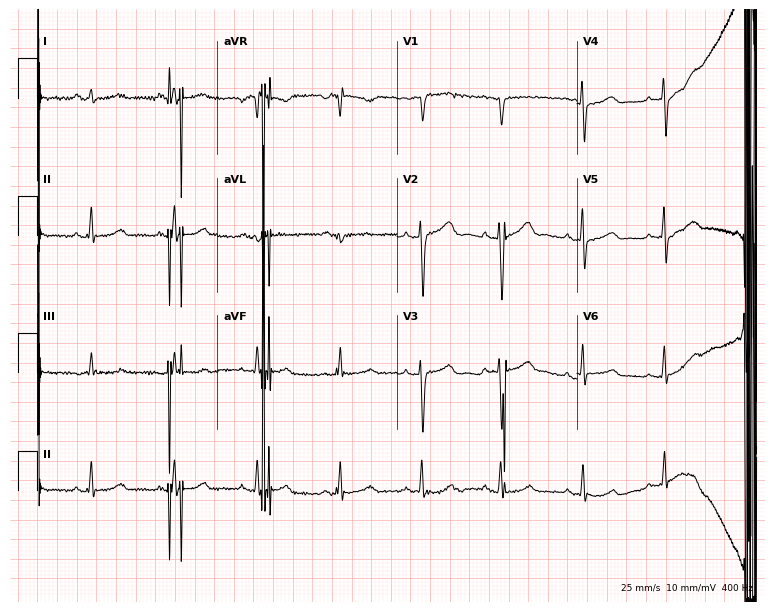
Resting 12-lead electrocardiogram (7.3-second recording at 400 Hz). Patient: a female, 27 years old. None of these six findings is recorded: first-degree AV block, right bundle branch block, left bundle branch block, sinus bradycardia, atrial fibrillation, sinus tachycardia. Other findings, if any, are not listed.